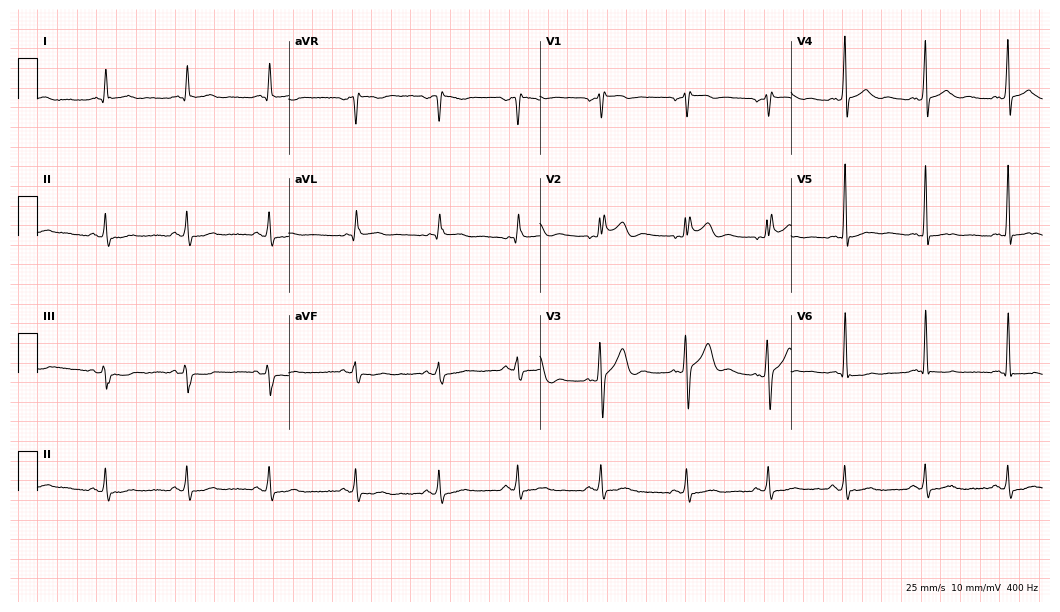
Standard 12-lead ECG recorded from a male patient, 38 years old. None of these six findings is recorded: first-degree AV block, right bundle branch block (RBBB), left bundle branch block (LBBB), sinus bradycardia, atrial fibrillation (AF), sinus tachycardia.